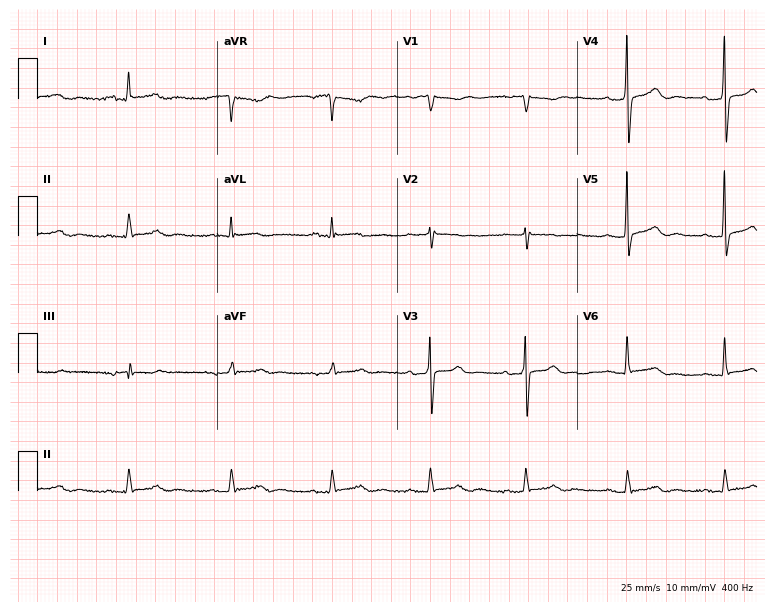
Electrocardiogram, a woman, 72 years old. Interpretation includes first-degree AV block.